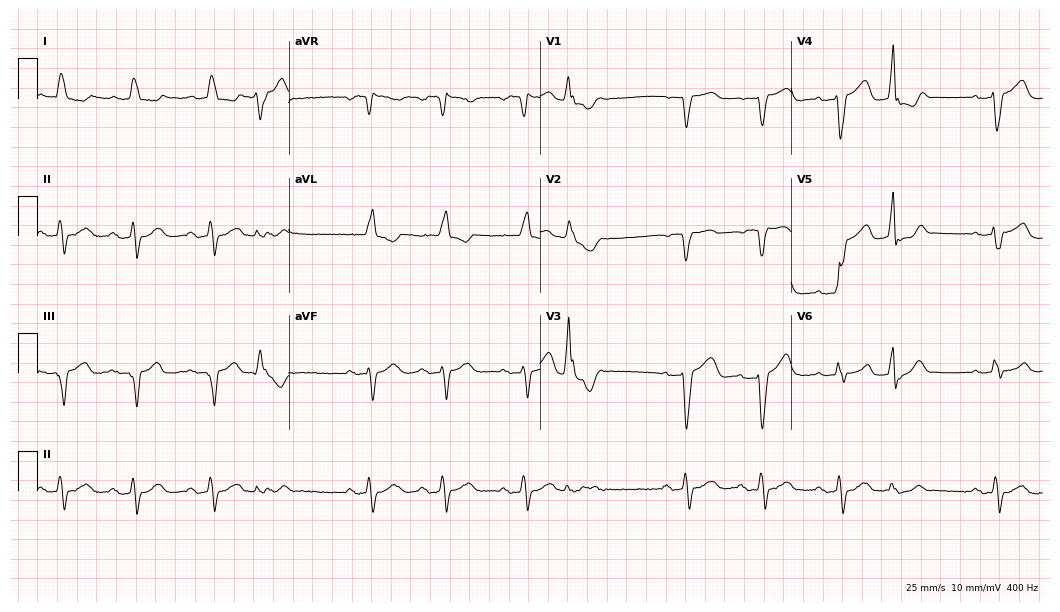
Resting 12-lead electrocardiogram (10.2-second recording at 400 Hz). Patient: a woman, 79 years old. The tracing shows first-degree AV block, left bundle branch block.